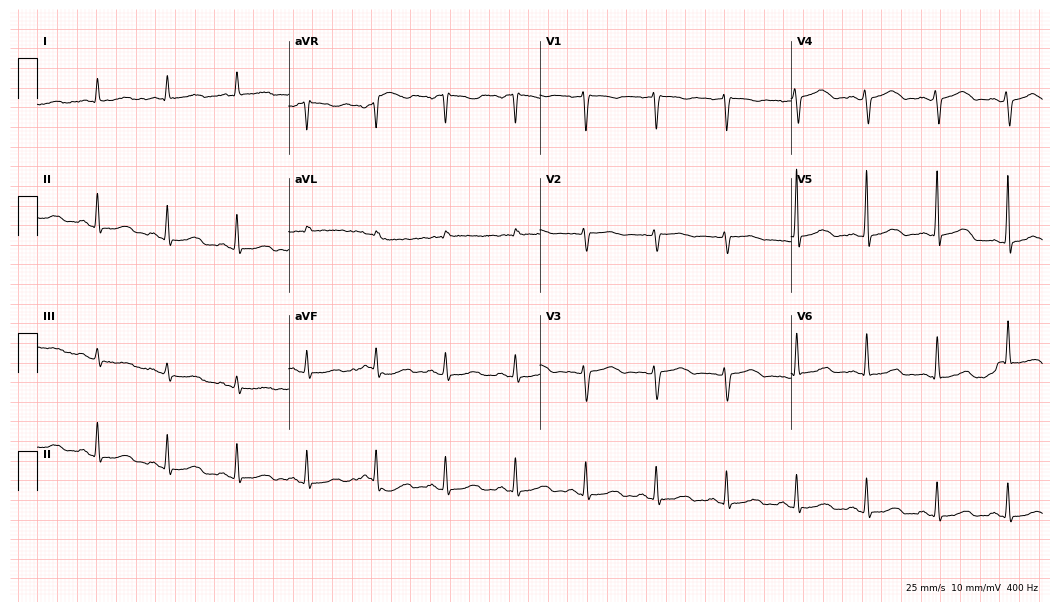
ECG — a 34-year-old woman. Labelled as a normal ECG.